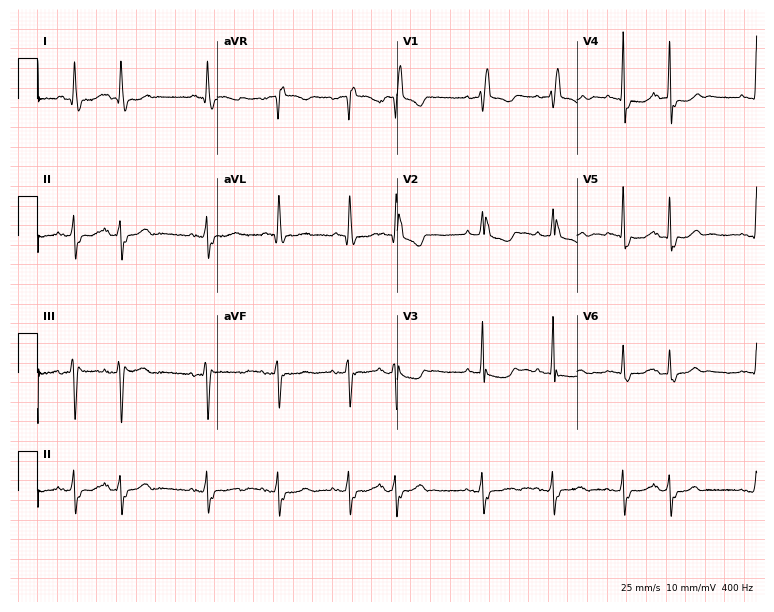
Standard 12-lead ECG recorded from a 57-year-old female patient. The tracing shows right bundle branch block (RBBB).